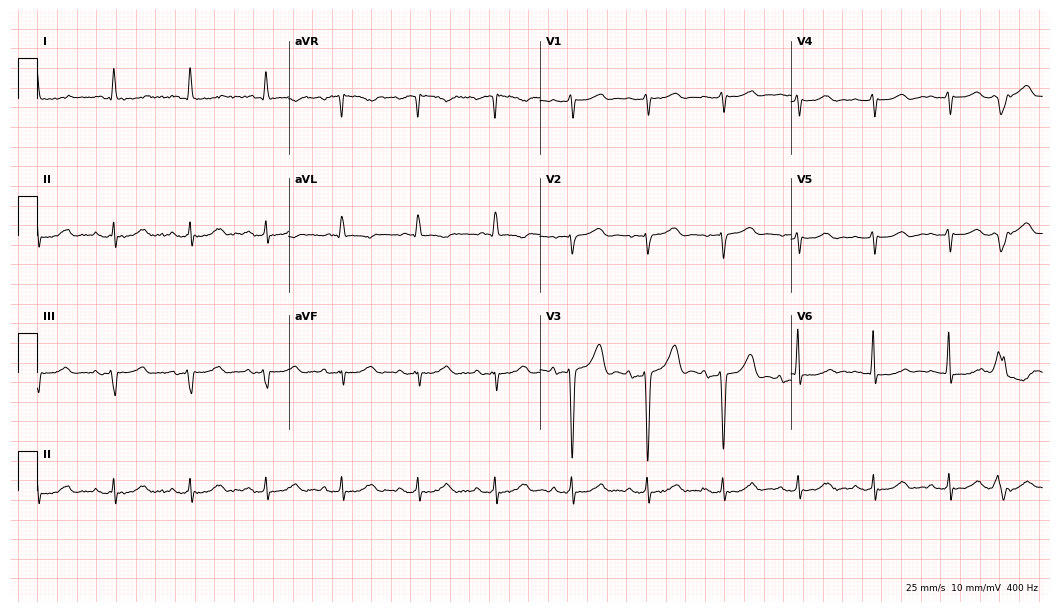
Electrocardiogram (10.2-second recording at 400 Hz), a 62-year-old male. Of the six screened findings (first-degree AV block, right bundle branch block, left bundle branch block, sinus bradycardia, atrial fibrillation, sinus tachycardia), none is recorded. Other findings, if any, are not listed.